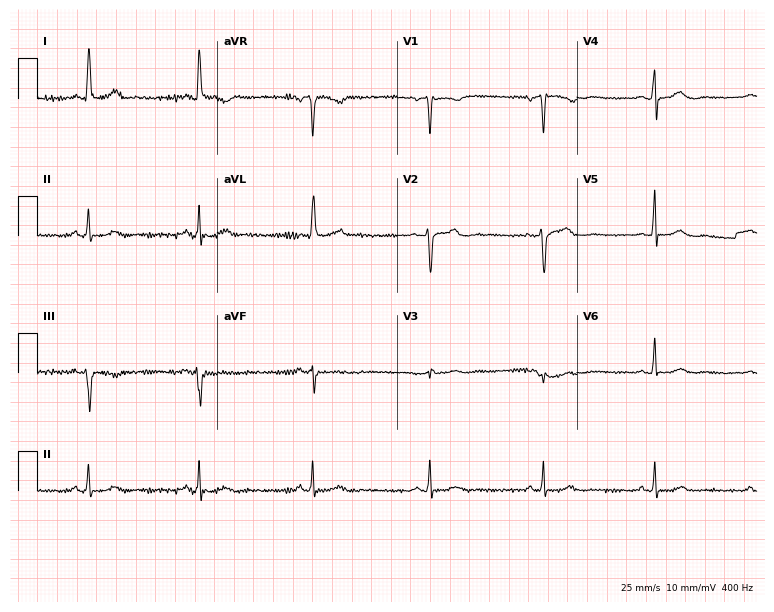
12-lead ECG (7.3-second recording at 400 Hz) from a female patient, 62 years old. Screened for six findings — first-degree AV block, right bundle branch block, left bundle branch block, sinus bradycardia, atrial fibrillation, sinus tachycardia — none is recorded. Other findings, if any, are not listed.